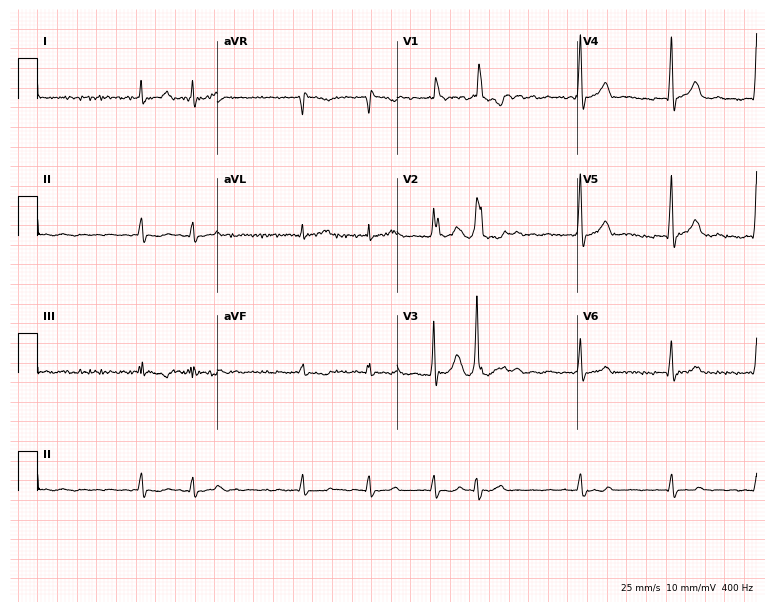
Standard 12-lead ECG recorded from a 62-year-old male patient. The tracing shows atrial fibrillation.